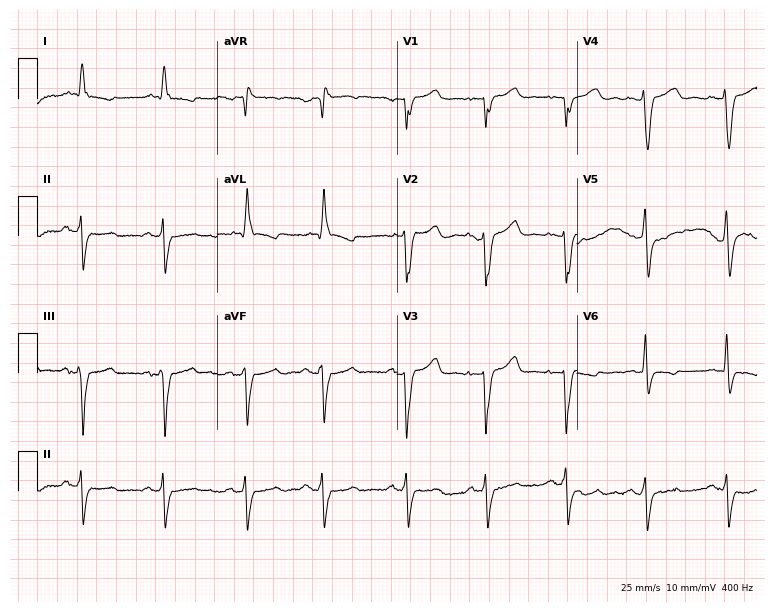
12-lead ECG from a male, 70 years old. No first-degree AV block, right bundle branch block, left bundle branch block, sinus bradycardia, atrial fibrillation or sinus tachycardia recorded for this tracing. Only these six findings were labelled.